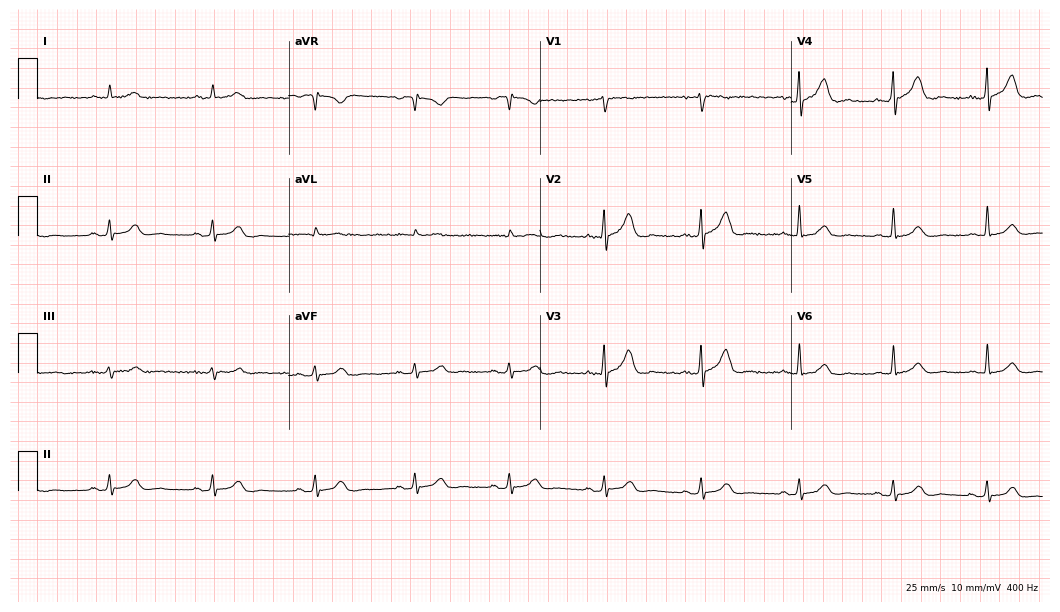
12-lead ECG from a male patient, 55 years old (10.2-second recording at 400 Hz). Recorded interpretation: within normal limits.